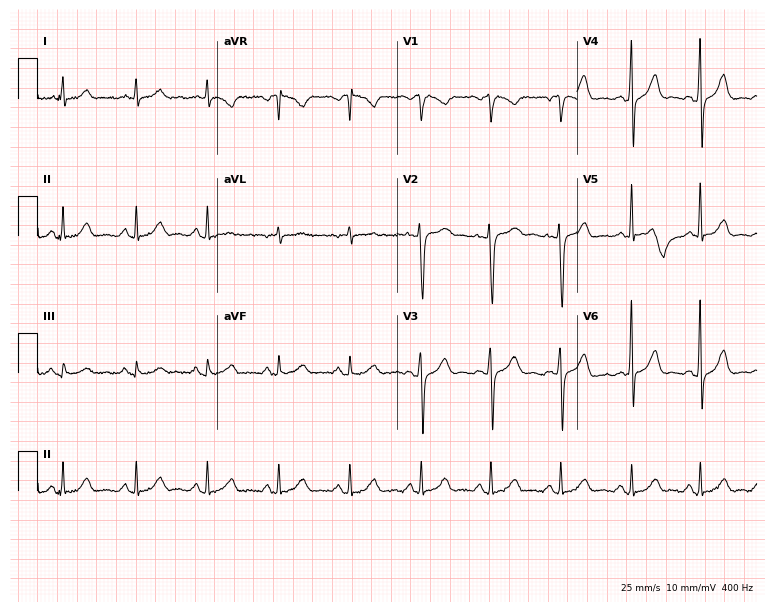
Standard 12-lead ECG recorded from a woman, 45 years old. Read as a normal ECG.